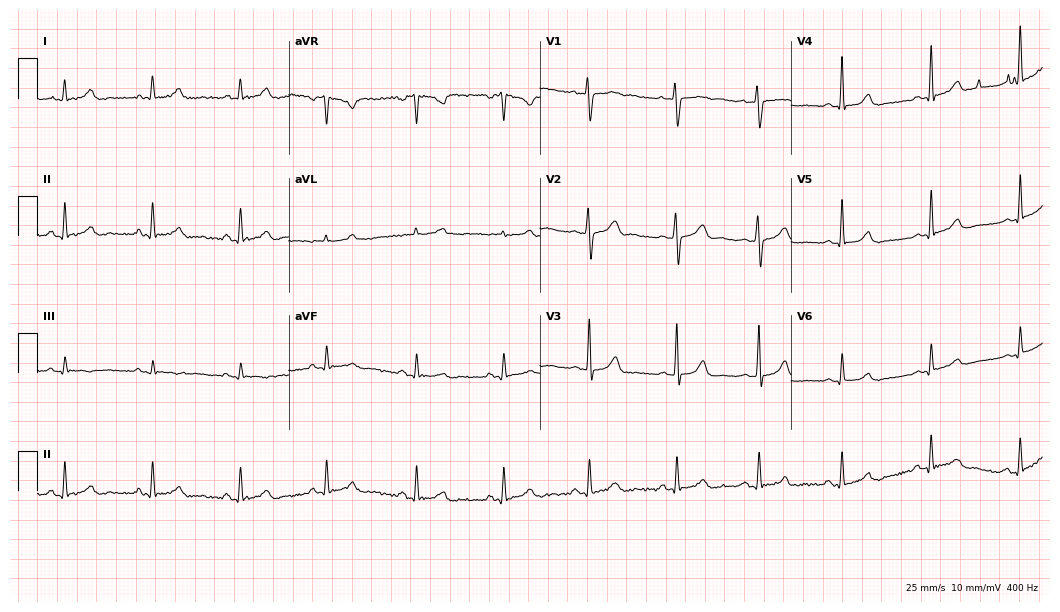
Electrocardiogram (10.2-second recording at 400 Hz), a woman, 40 years old. Of the six screened findings (first-degree AV block, right bundle branch block, left bundle branch block, sinus bradycardia, atrial fibrillation, sinus tachycardia), none is recorded. Other findings, if any, are not listed.